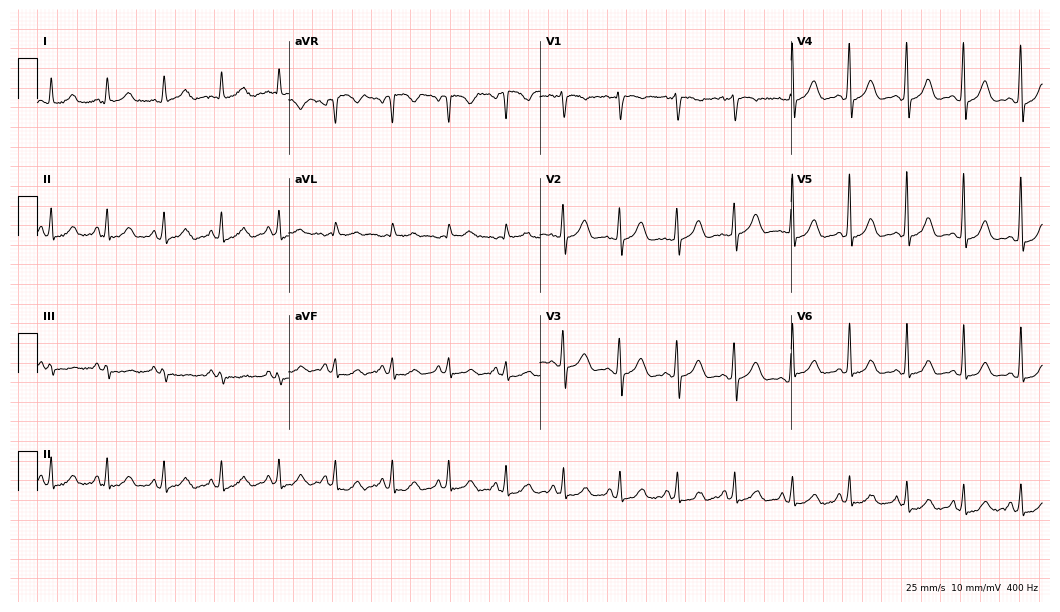
Resting 12-lead electrocardiogram (10.2-second recording at 400 Hz). Patient: a female, 39 years old. The tracing shows sinus tachycardia (a sinus rate of 100 beats per minute or more).